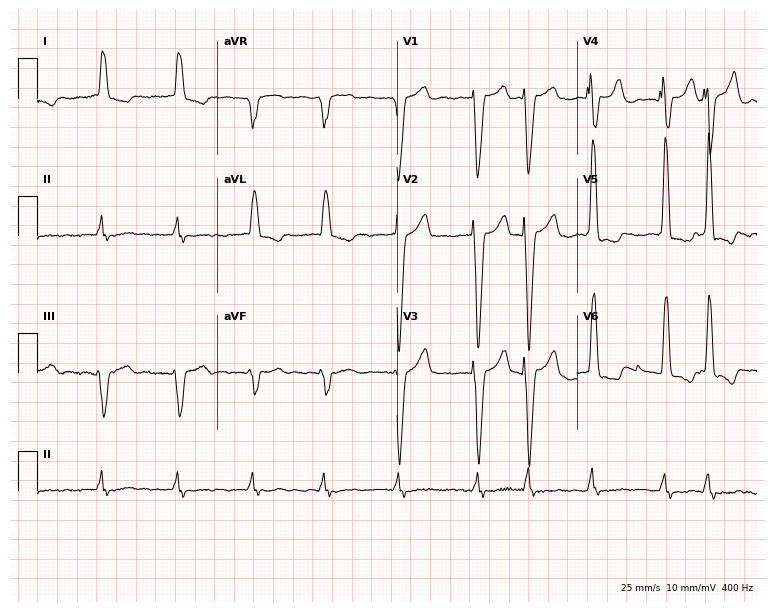
Electrocardiogram, a 75-year-old male patient. Interpretation includes left bundle branch block, atrial fibrillation.